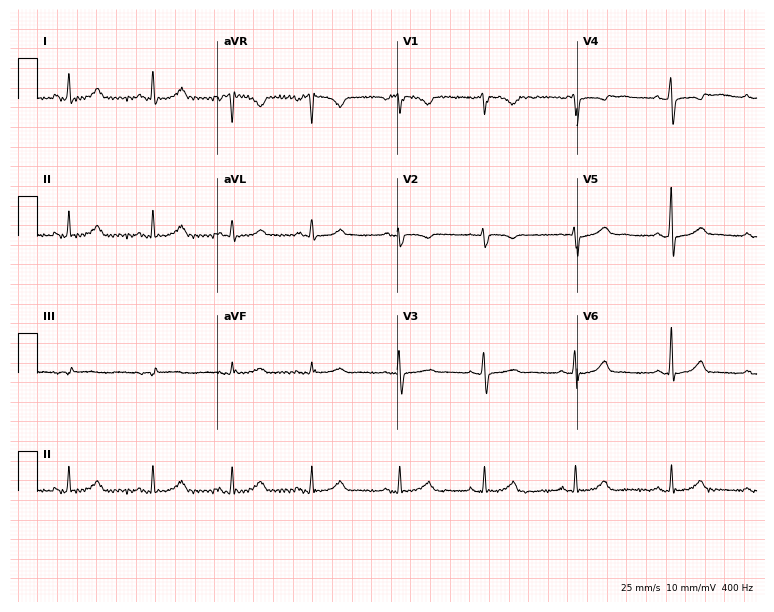
ECG (7.3-second recording at 400 Hz) — a 37-year-old female patient. Labelled as a normal ECG.